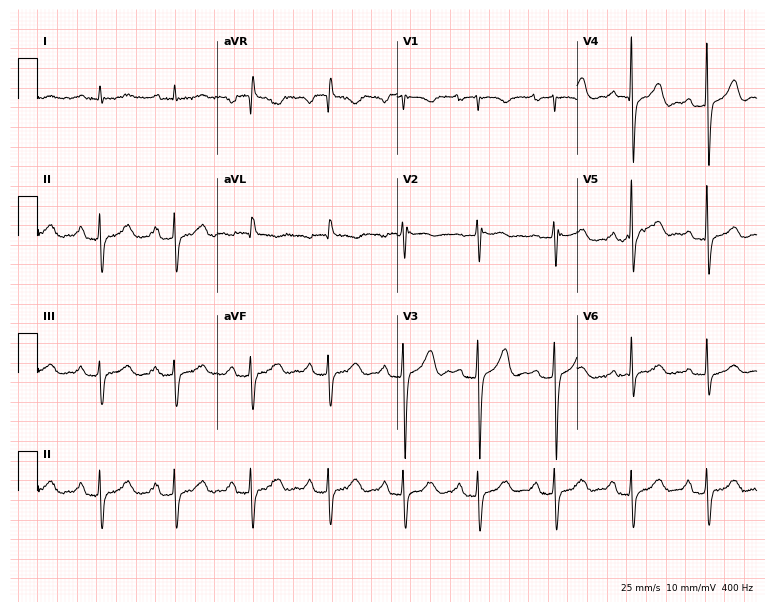
Electrocardiogram, a male patient, 74 years old. Interpretation includes first-degree AV block.